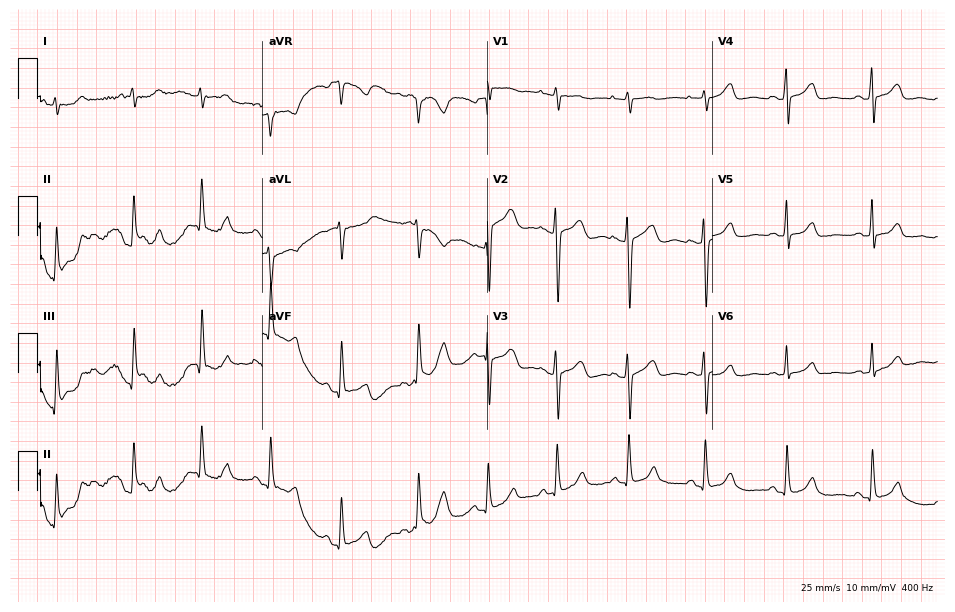
12-lead ECG (9.2-second recording at 400 Hz) from a 39-year-old female. Screened for six findings — first-degree AV block, right bundle branch block, left bundle branch block, sinus bradycardia, atrial fibrillation, sinus tachycardia — none is recorded. Other findings, if any, are not listed.